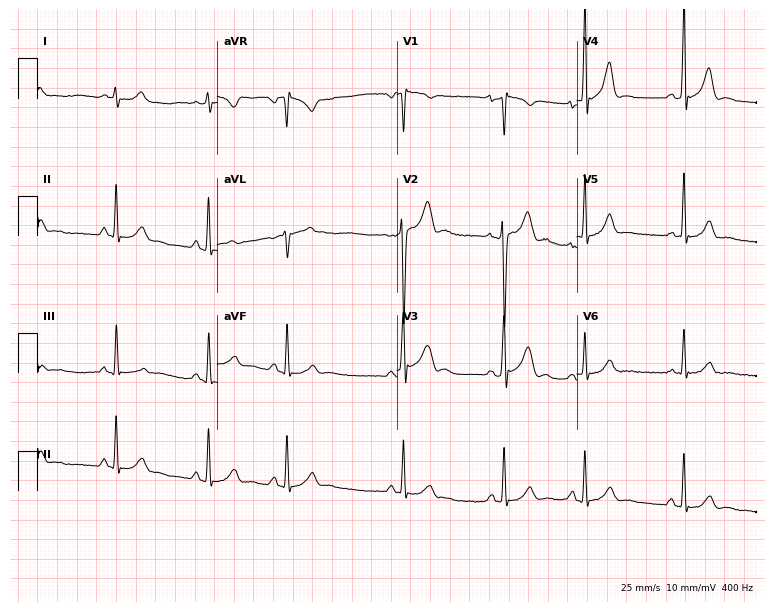
12-lead ECG from a 21-year-old male. No first-degree AV block, right bundle branch block (RBBB), left bundle branch block (LBBB), sinus bradycardia, atrial fibrillation (AF) or sinus tachycardia recorded for this tracing. Findings outside these six are not listed.